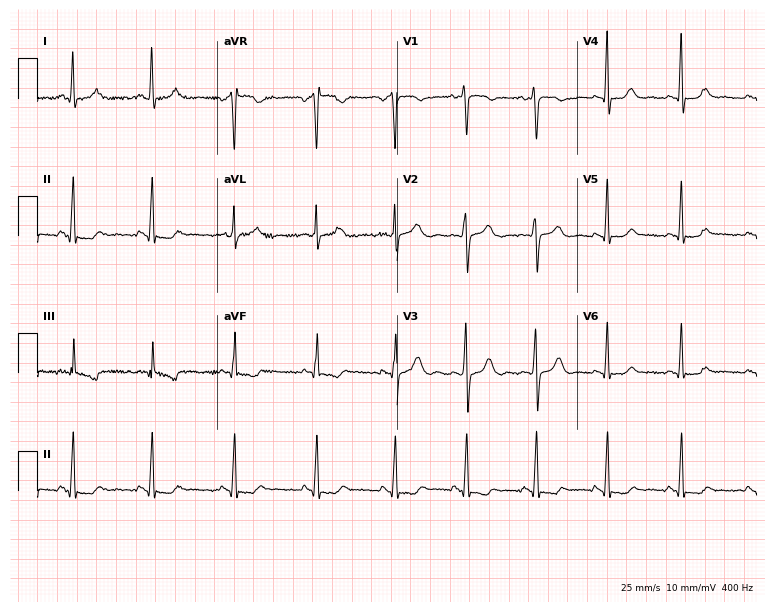
Standard 12-lead ECG recorded from a female patient, 28 years old. None of these six findings is recorded: first-degree AV block, right bundle branch block, left bundle branch block, sinus bradycardia, atrial fibrillation, sinus tachycardia. Findings outside these six are not listed.